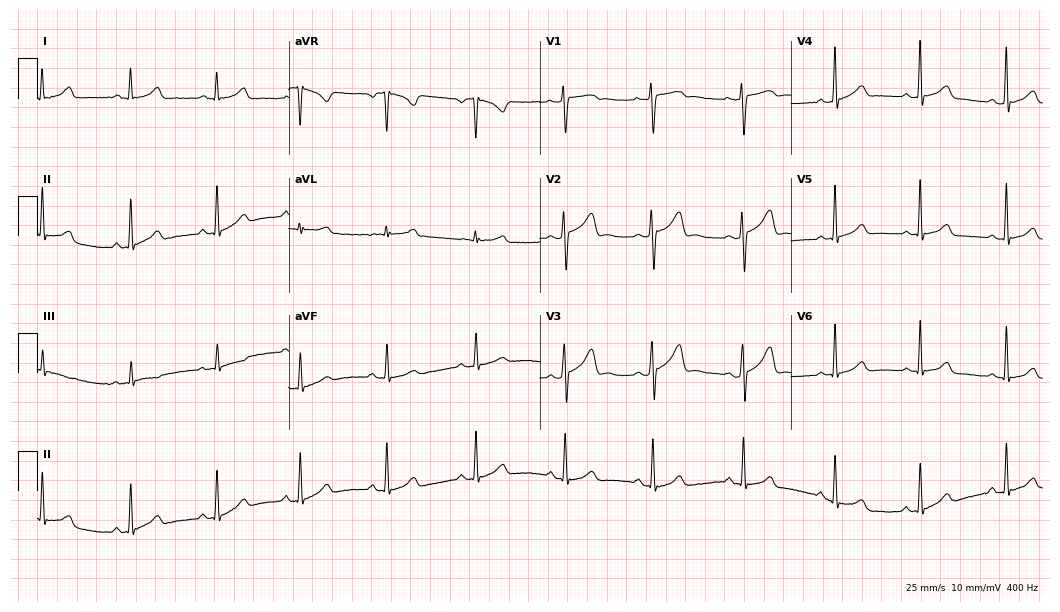
12-lead ECG from a 31-year-old female patient. Labelled as a normal ECG.